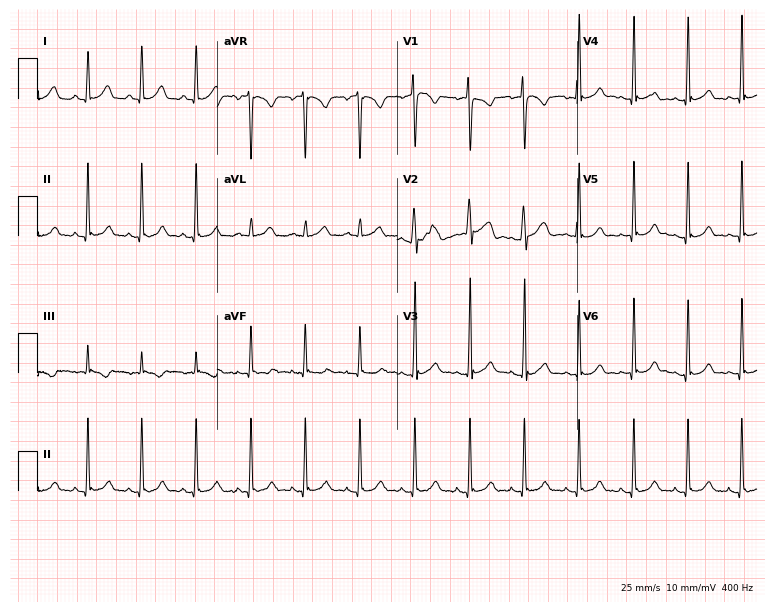
Electrocardiogram, a 21-year-old female patient. Interpretation includes sinus tachycardia (a sinus rate of 100 beats per minute or more).